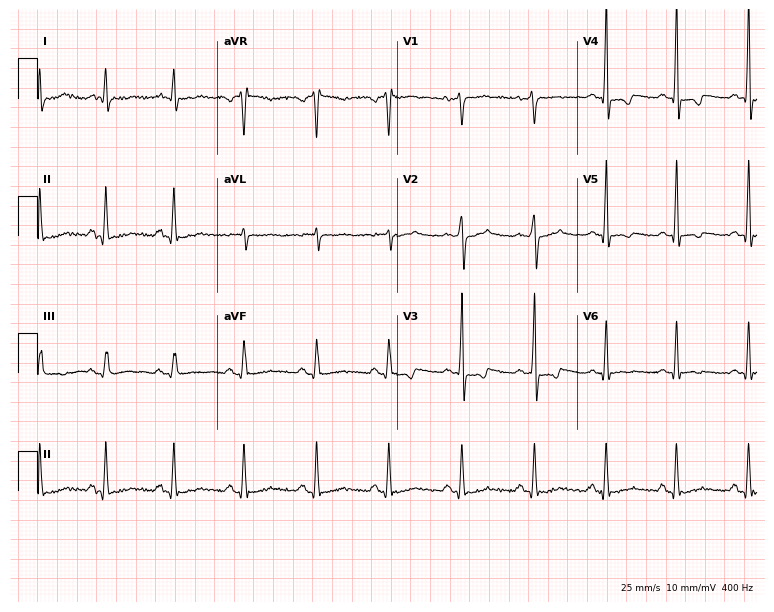
Resting 12-lead electrocardiogram (7.3-second recording at 400 Hz). Patient: a 60-year-old male. None of these six findings is recorded: first-degree AV block, right bundle branch block, left bundle branch block, sinus bradycardia, atrial fibrillation, sinus tachycardia. Other findings, if any, are not listed.